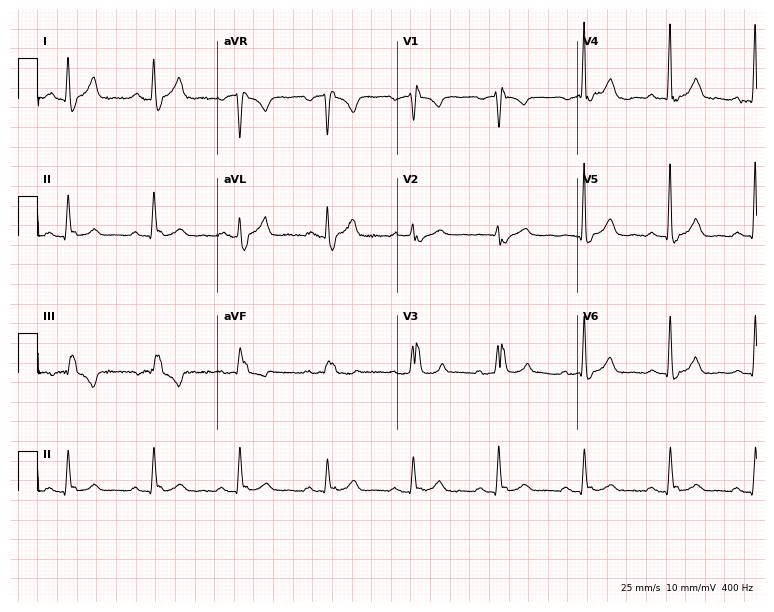
12-lead ECG from a male patient, 64 years old. Shows right bundle branch block.